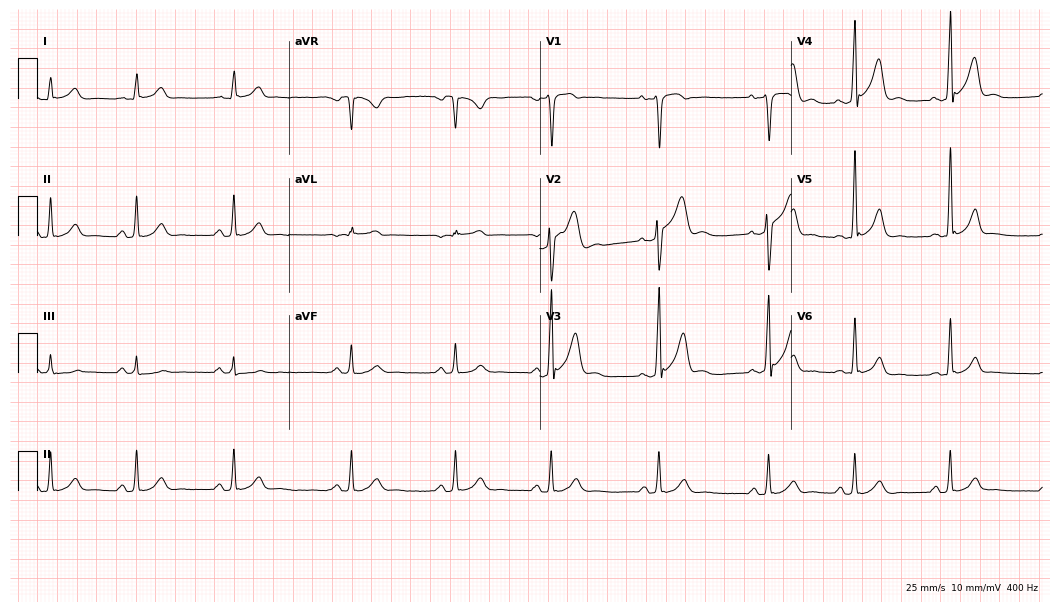
12-lead ECG from a male patient, 26 years old (10.2-second recording at 400 Hz). Recorded interpretation: within normal limits.